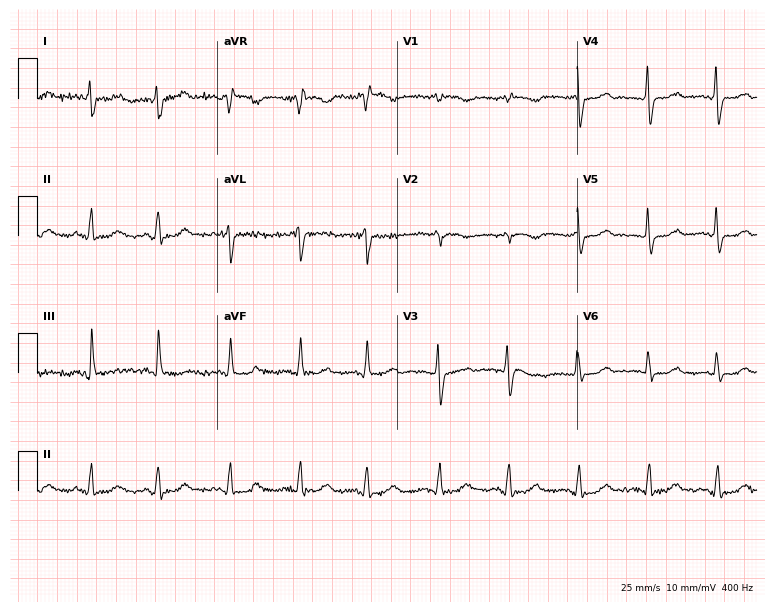
12-lead ECG from an 81-year-old woman. Screened for six findings — first-degree AV block, right bundle branch block (RBBB), left bundle branch block (LBBB), sinus bradycardia, atrial fibrillation (AF), sinus tachycardia — none is recorded. Other findings, if any, are not listed.